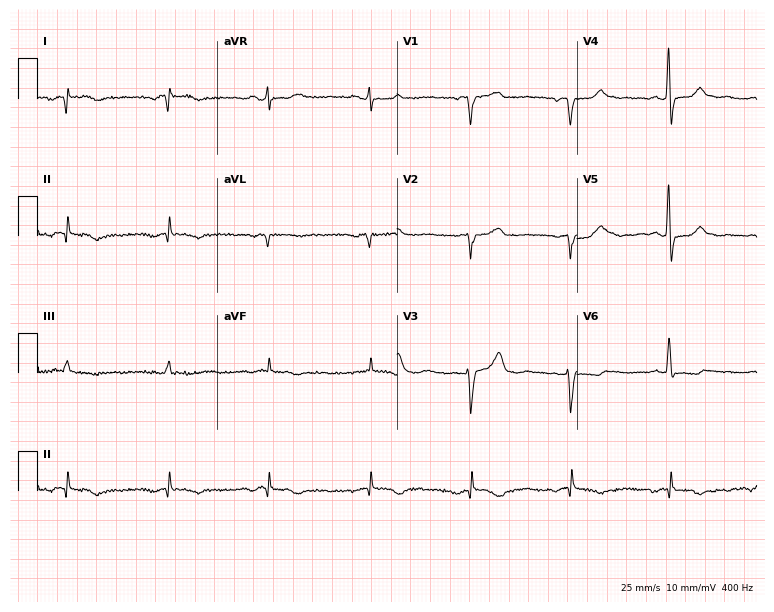
12-lead ECG from a man, 81 years old (7.3-second recording at 400 Hz). No first-degree AV block, right bundle branch block (RBBB), left bundle branch block (LBBB), sinus bradycardia, atrial fibrillation (AF) or sinus tachycardia recorded for this tracing. Other findings, if any, are not listed.